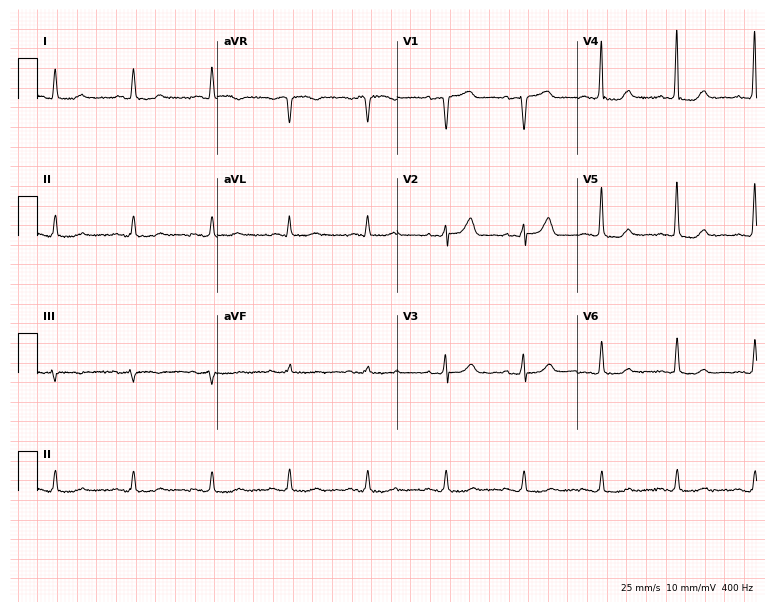
12-lead ECG from a female patient, 85 years old. No first-degree AV block, right bundle branch block (RBBB), left bundle branch block (LBBB), sinus bradycardia, atrial fibrillation (AF) or sinus tachycardia recorded for this tracing. Other findings, if any, are not listed.